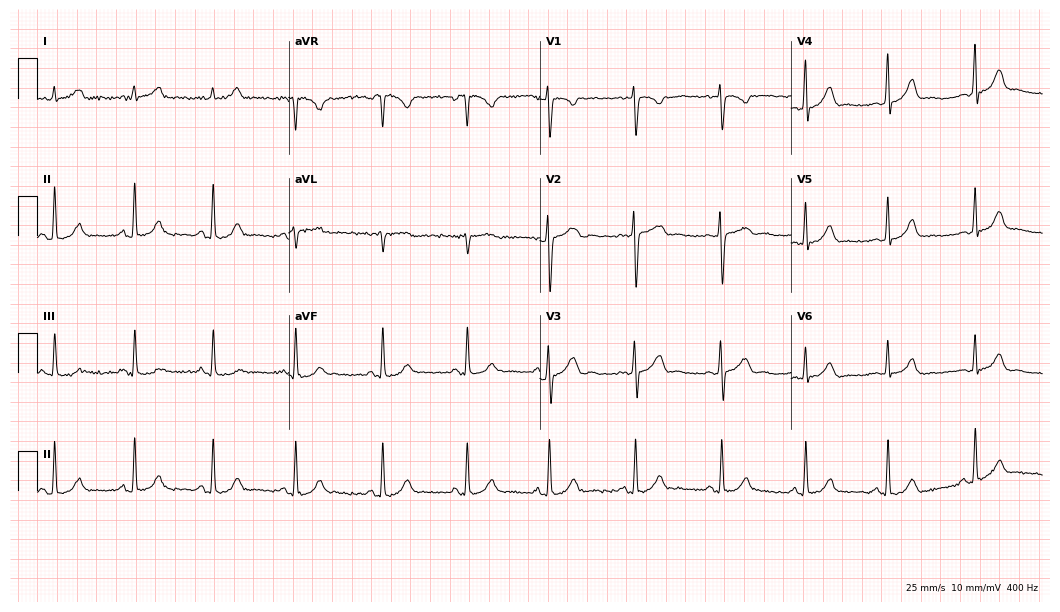
ECG — a 21-year-old female patient. Labelled as a normal ECG.